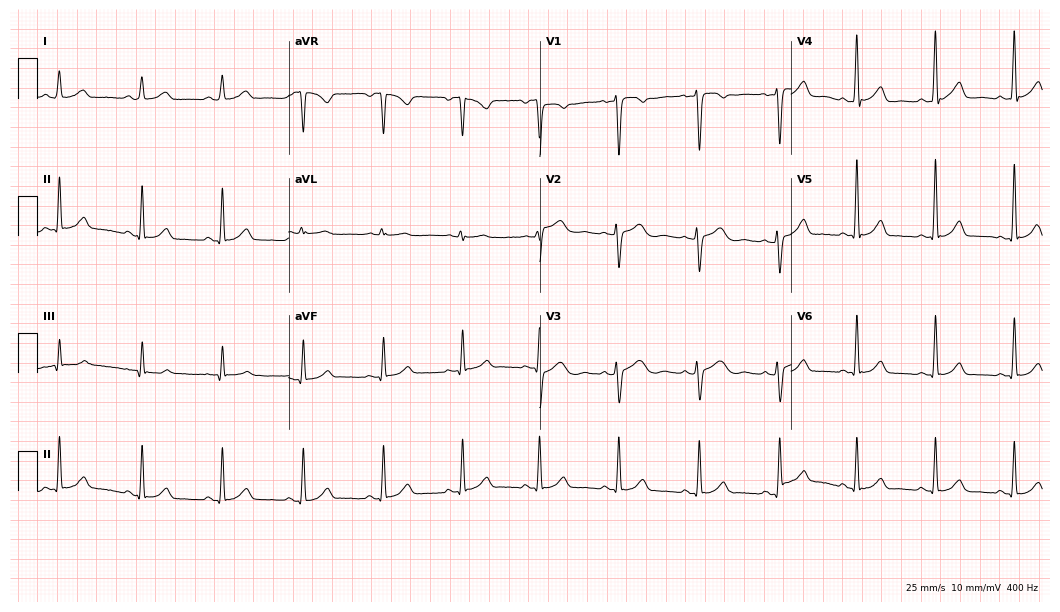
Resting 12-lead electrocardiogram. Patient: a 39-year-old female. Read as a normal ECG.